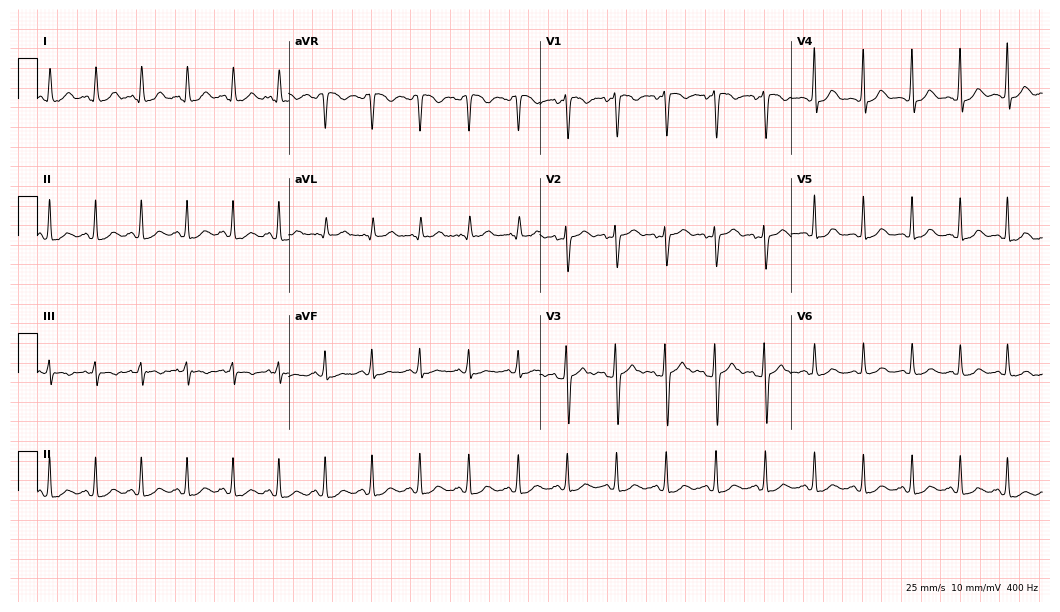
Electrocardiogram (10.2-second recording at 400 Hz), an 18-year-old female patient. Interpretation includes sinus tachycardia (a sinus rate of 100 beats per minute or more).